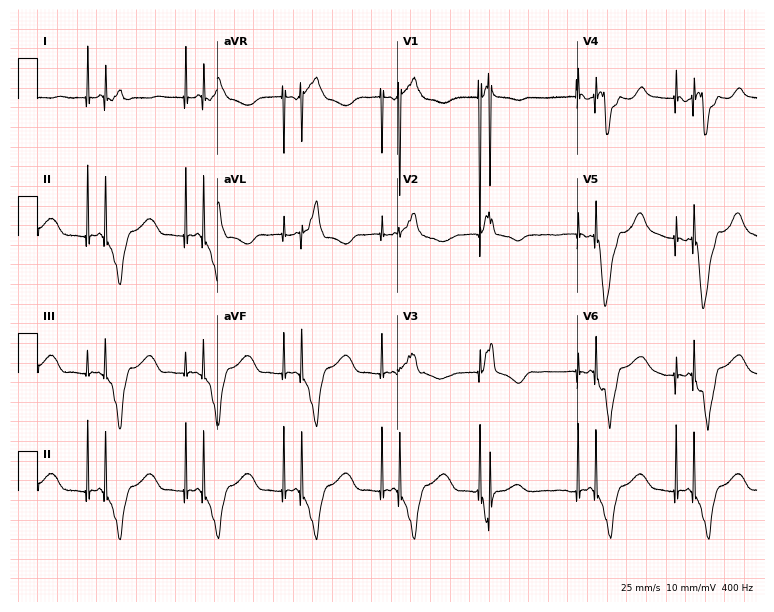
12-lead ECG from a male patient, 62 years old (7.3-second recording at 400 Hz). No first-degree AV block, right bundle branch block, left bundle branch block, sinus bradycardia, atrial fibrillation or sinus tachycardia recorded for this tracing.